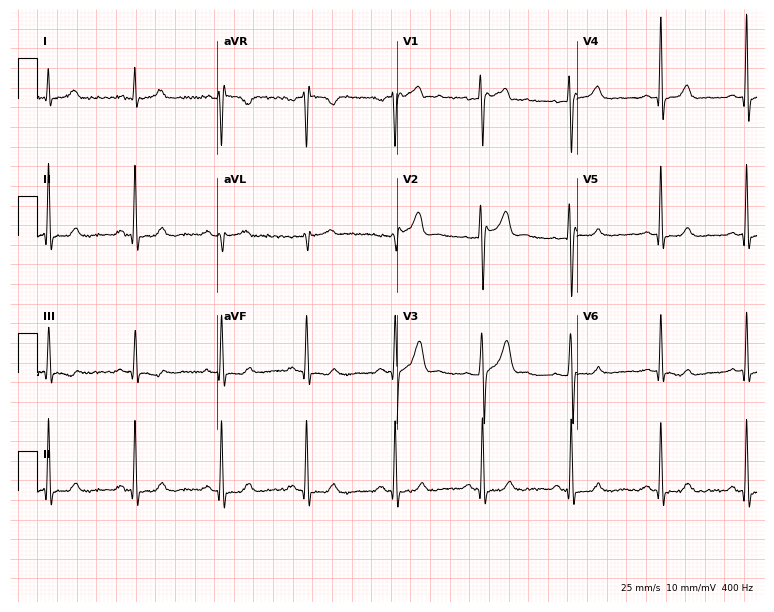
12-lead ECG from a male, 34 years old. Recorded interpretation: within normal limits.